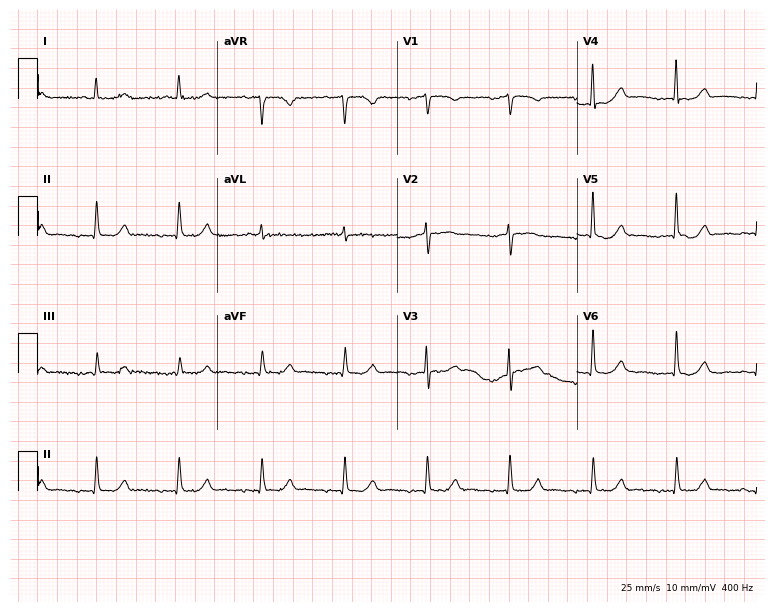
ECG — a female patient, 80 years old. Labelled as a normal ECG.